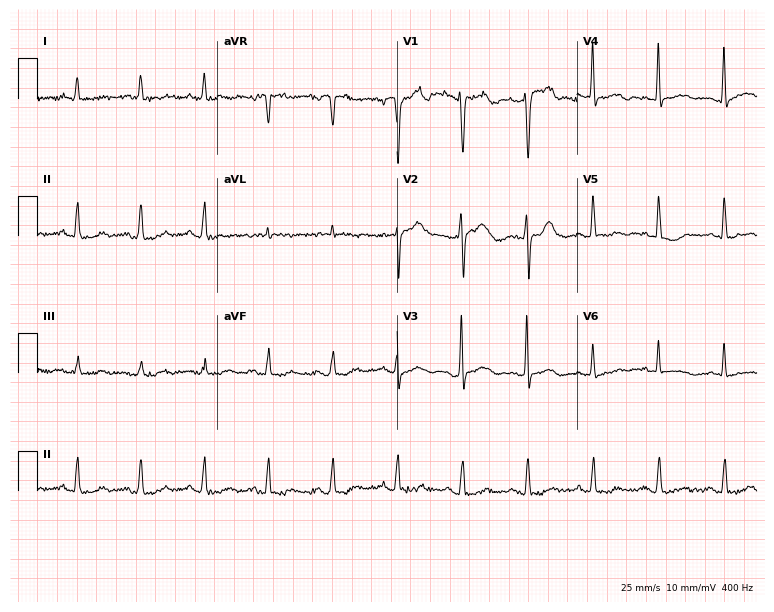
12-lead ECG from a 54-year-old man. No first-degree AV block, right bundle branch block, left bundle branch block, sinus bradycardia, atrial fibrillation or sinus tachycardia recorded for this tracing.